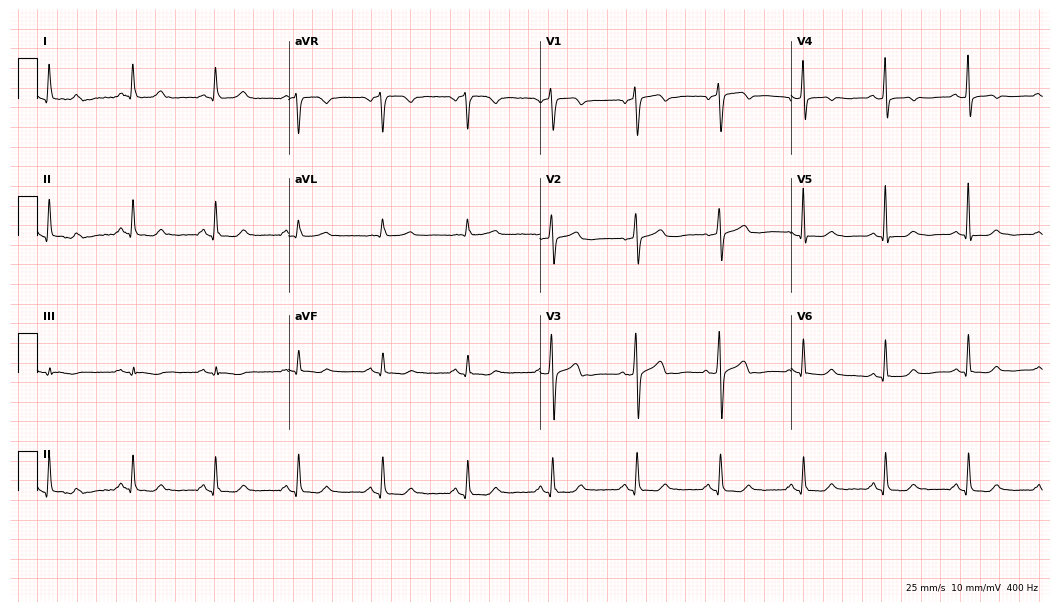
Resting 12-lead electrocardiogram (10.2-second recording at 400 Hz). Patient: a 70-year-old female. Read as a normal ECG.